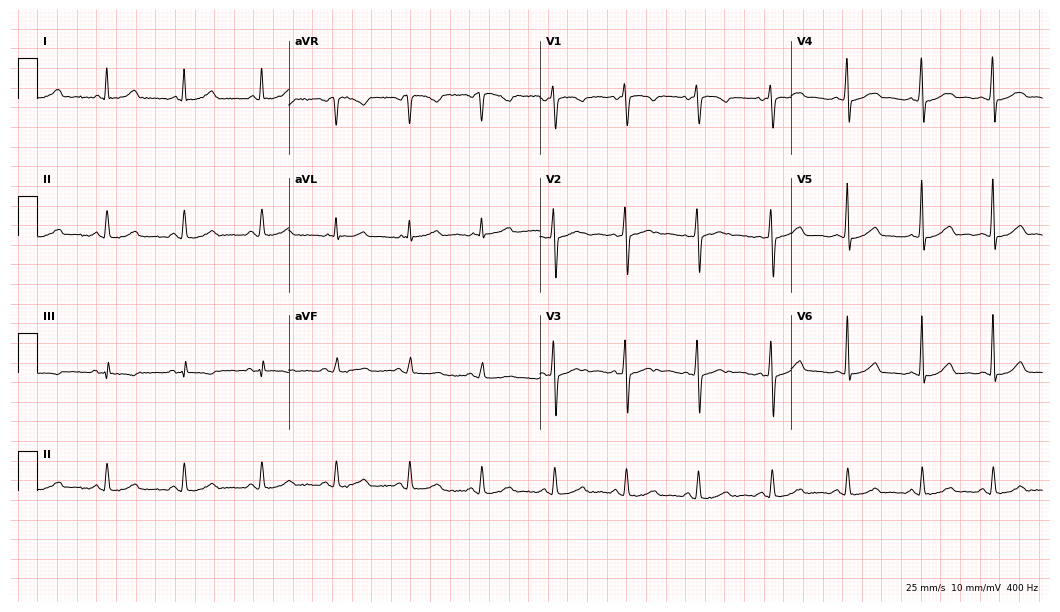
Electrocardiogram (10.2-second recording at 400 Hz), a 40-year-old female patient. Overall reading on record: normal ECG.